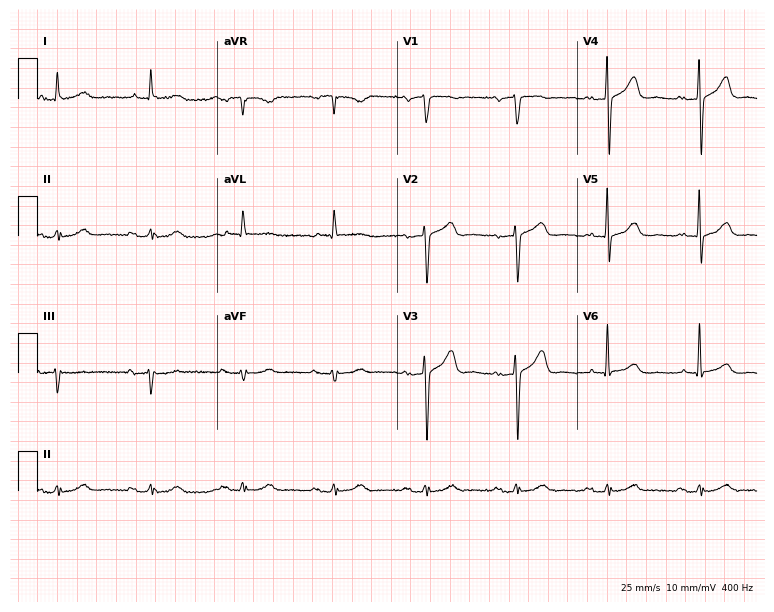
12-lead ECG from a man, 82 years old. Recorded interpretation: within normal limits.